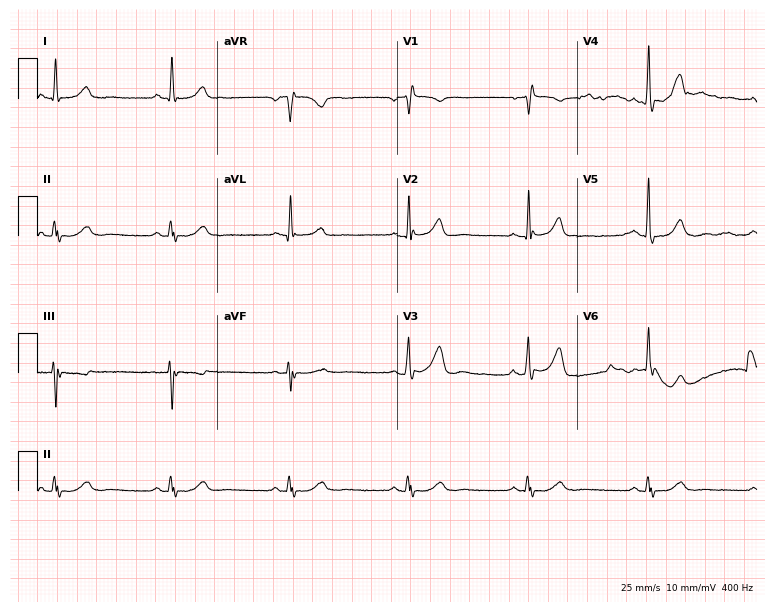
12-lead ECG from a 78-year-old male (7.3-second recording at 400 Hz). No first-degree AV block, right bundle branch block (RBBB), left bundle branch block (LBBB), sinus bradycardia, atrial fibrillation (AF) or sinus tachycardia recorded for this tracing. Other findings, if any, are not listed.